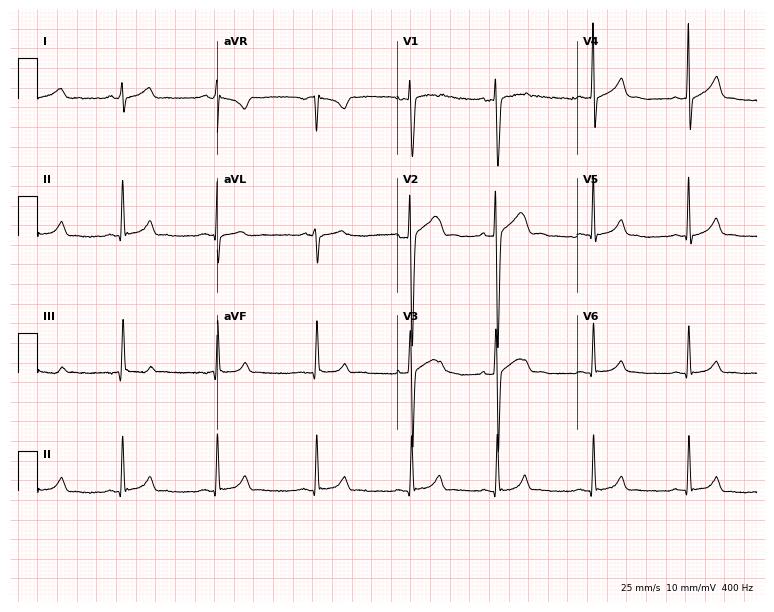
12-lead ECG from a 21-year-old man (7.3-second recording at 400 Hz). No first-degree AV block, right bundle branch block (RBBB), left bundle branch block (LBBB), sinus bradycardia, atrial fibrillation (AF) or sinus tachycardia recorded for this tracing.